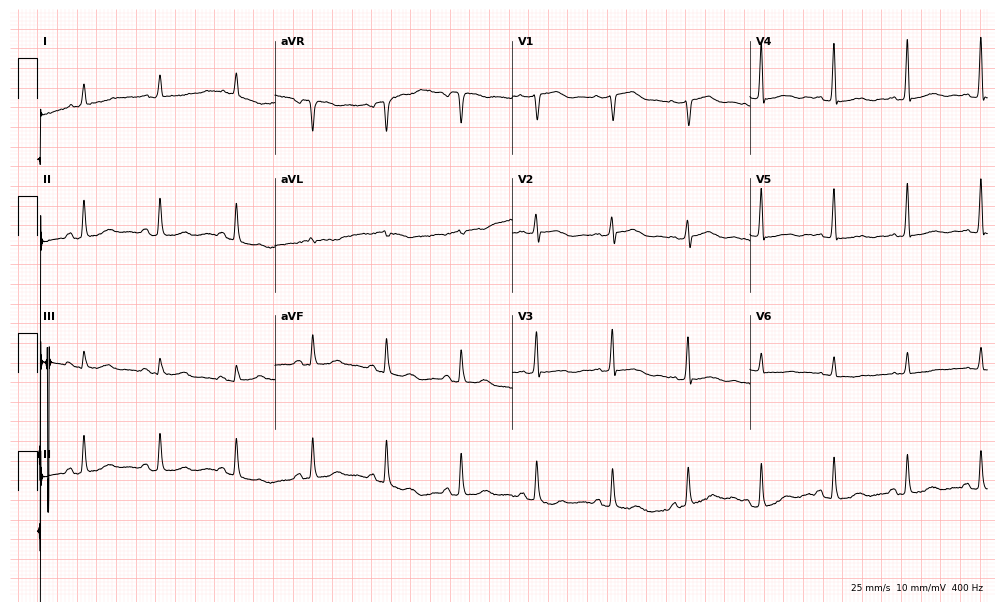
Standard 12-lead ECG recorded from a 78-year-old female. None of these six findings is recorded: first-degree AV block, right bundle branch block (RBBB), left bundle branch block (LBBB), sinus bradycardia, atrial fibrillation (AF), sinus tachycardia. Other findings, if any, are not listed.